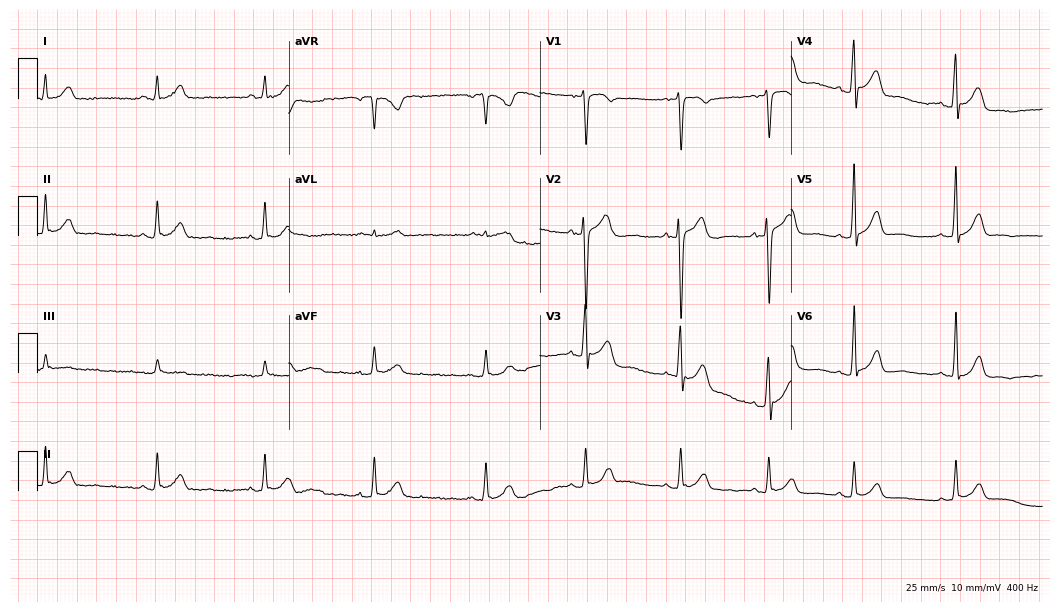
Electrocardiogram (10.2-second recording at 400 Hz), a male patient, 36 years old. Of the six screened findings (first-degree AV block, right bundle branch block, left bundle branch block, sinus bradycardia, atrial fibrillation, sinus tachycardia), none is recorded. Only these six findings were labelled.